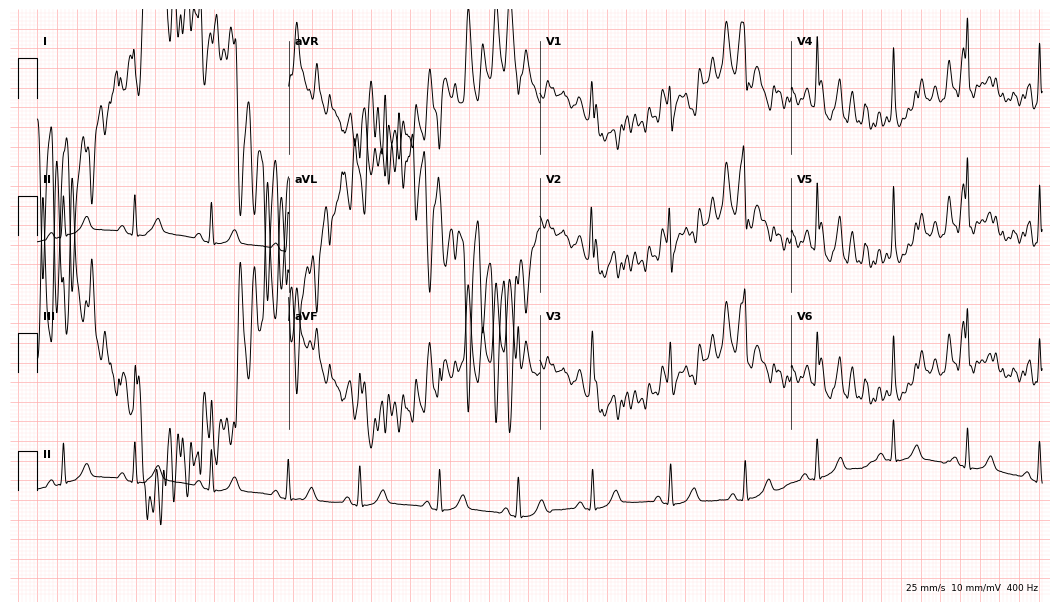
Electrocardiogram (10.2-second recording at 400 Hz), a 21-year-old female patient. Of the six screened findings (first-degree AV block, right bundle branch block, left bundle branch block, sinus bradycardia, atrial fibrillation, sinus tachycardia), none is recorded. Findings outside these six are not listed.